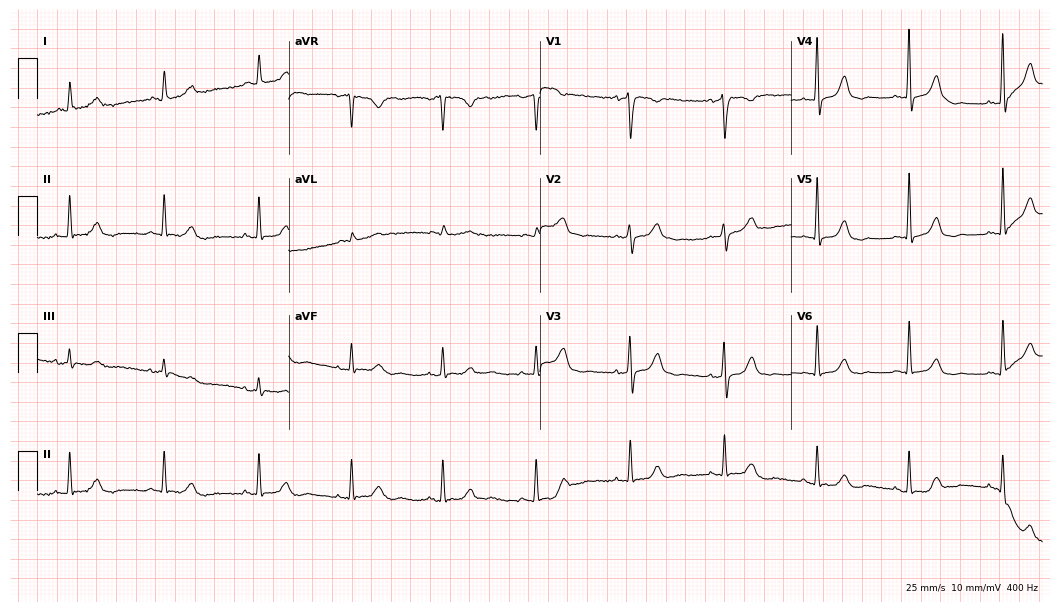
Standard 12-lead ECG recorded from a 67-year-old female patient (10.2-second recording at 400 Hz). None of these six findings is recorded: first-degree AV block, right bundle branch block (RBBB), left bundle branch block (LBBB), sinus bradycardia, atrial fibrillation (AF), sinus tachycardia. Only these six findings were labelled.